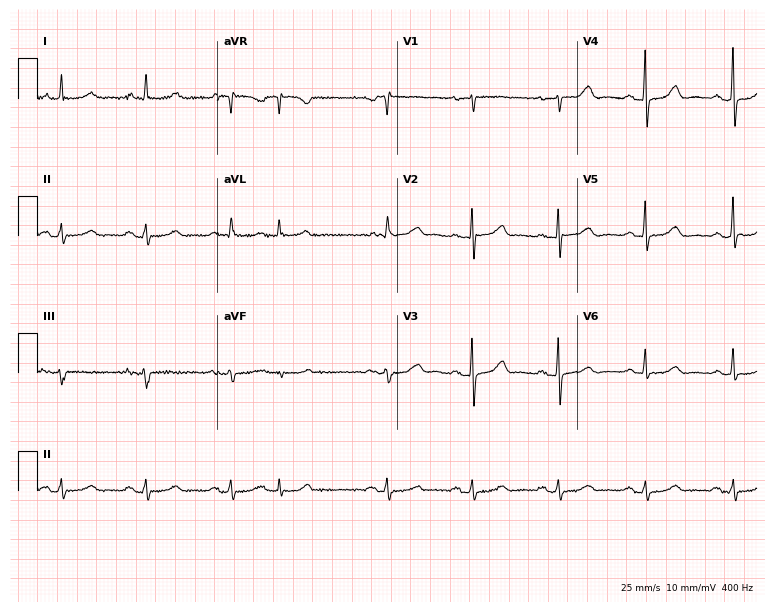
Resting 12-lead electrocardiogram (7.3-second recording at 400 Hz). Patient: a 63-year-old woman. None of these six findings is recorded: first-degree AV block, right bundle branch block, left bundle branch block, sinus bradycardia, atrial fibrillation, sinus tachycardia. Findings outside these six are not listed.